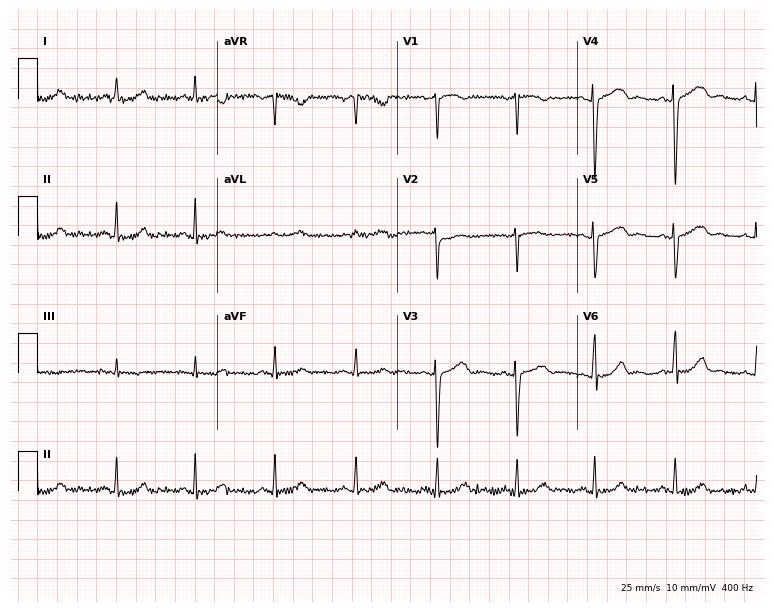
Standard 12-lead ECG recorded from a female patient, 38 years old (7.3-second recording at 400 Hz). None of these six findings is recorded: first-degree AV block, right bundle branch block (RBBB), left bundle branch block (LBBB), sinus bradycardia, atrial fibrillation (AF), sinus tachycardia. Only these six findings were labelled.